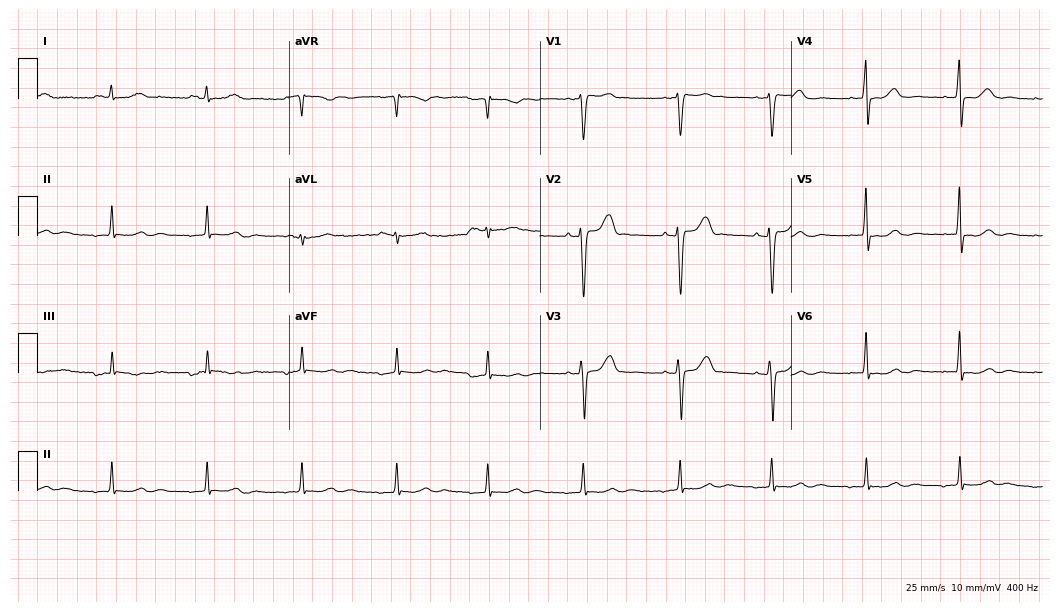
Resting 12-lead electrocardiogram. Patient: a 47-year-old woman. None of these six findings is recorded: first-degree AV block, right bundle branch block, left bundle branch block, sinus bradycardia, atrial fibrillation, sinus tachycardia. Other findings, if any, are not listed.